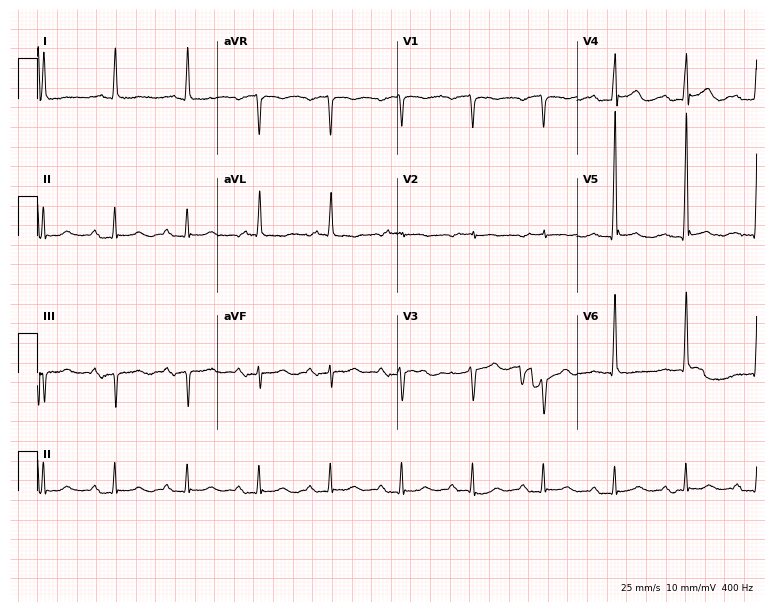
ECG (7.3-second recording at 400 Hz) — a male patient, 79 years old. Findings include first-degree AV block.